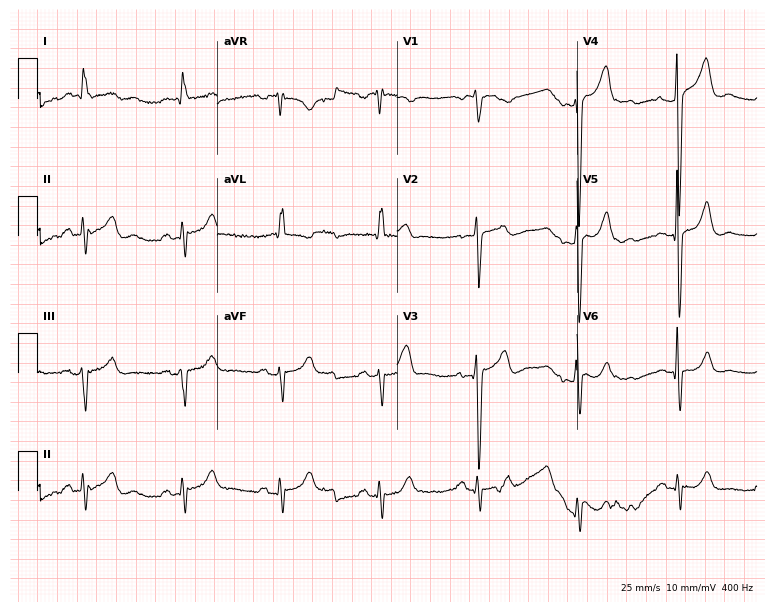
Standard 12-lead ECG recorded from a 76-year-old man (7.3-second recording at 400 Hz). None of these six findings is recorded: first-degree AV block, right bundle branch block (RBBB), left bundle branch block (LBBB), sinus bradycardia, atrial fibrillation (AF), sinus tachycardia. Findings outside these six are not listed.